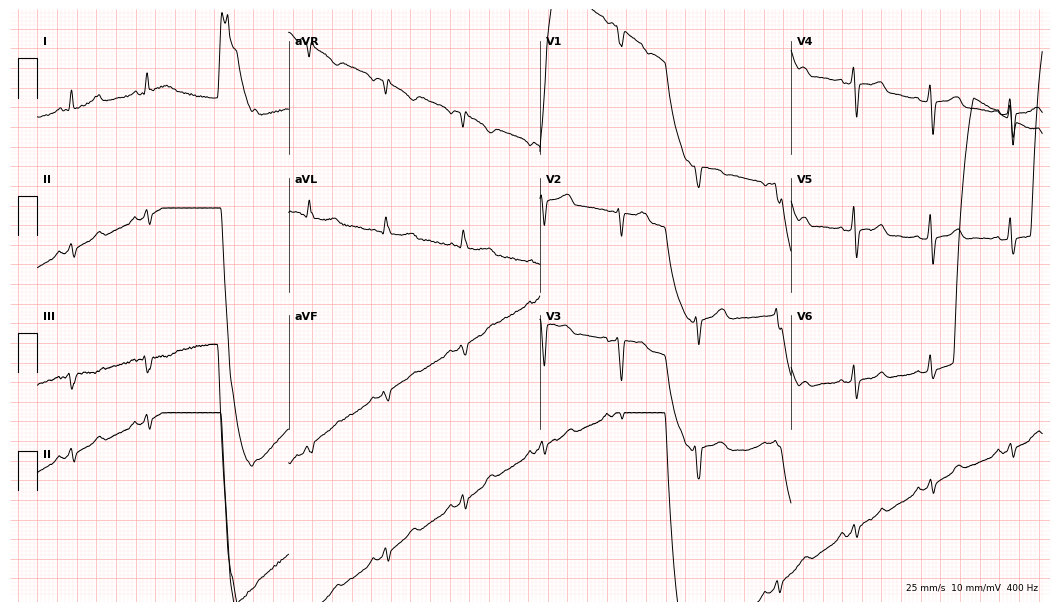
Standard 12-lead ECG recorded from a 52-year-old woman. None of these six findings is recorded: first-degree AV block, right bundle branch block, left bundle branch block, sinus bradycardia, atrial fibrillation, sinus tachycardia.